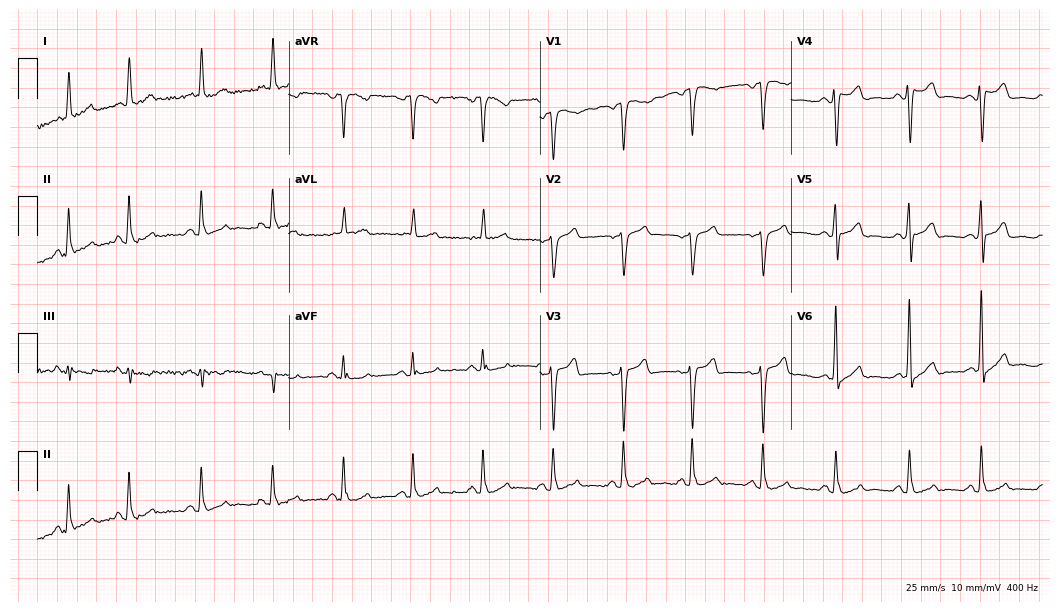
Electrocardiogram (10.2-second recording at 400 Hz), a man, 61 years old. Overall reading on record: normal ECG.